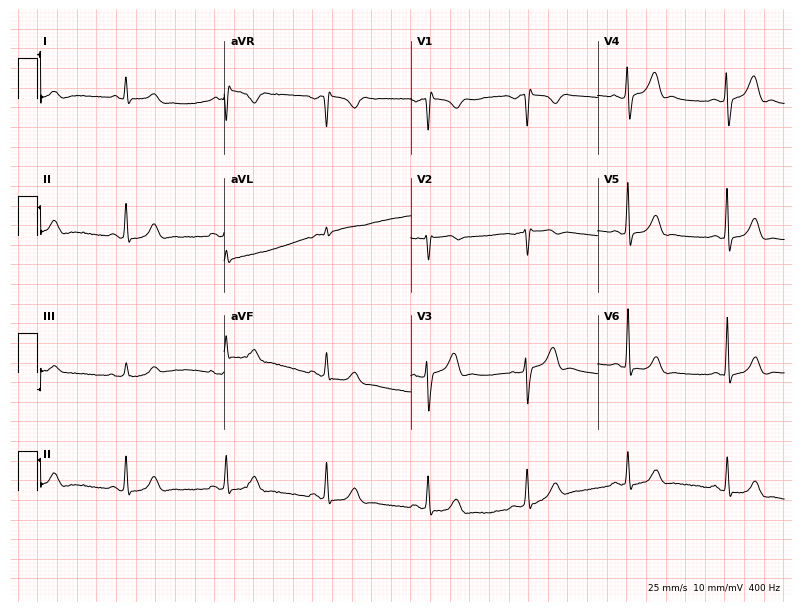
12-lead ECG from a man, 73 years old (7.6-second recording at 400 Hz). No first-degree AV block, right bundle branch block, left bundle branch block, sinus bradycardia, atrial fibrillation or sinus tachycardia recorded for this tracing.